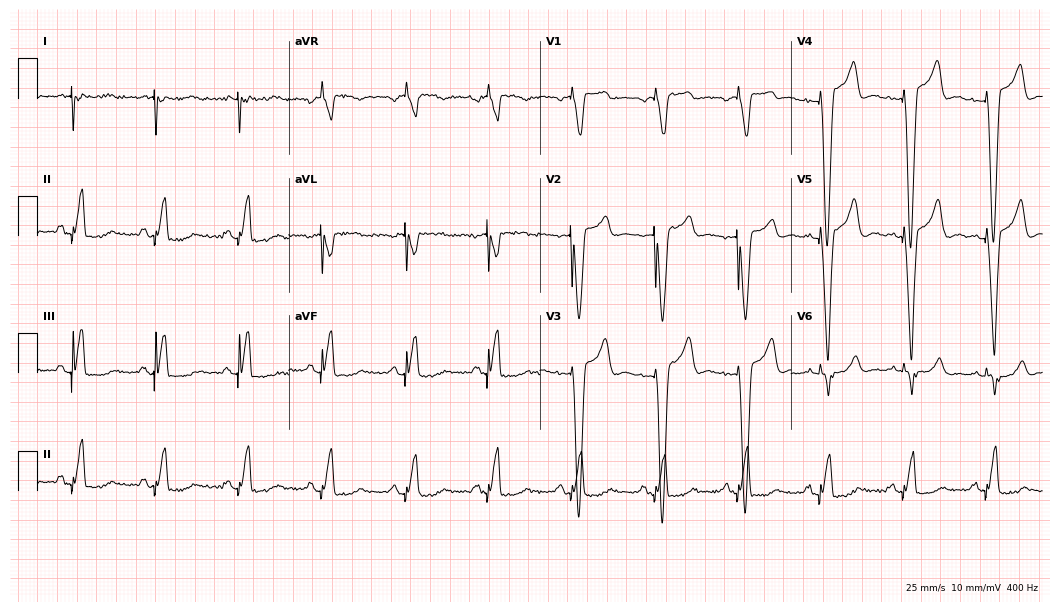
12-lead ECG from an 82-year-old male patient. No first-degree AV block, right bundle branch block, left bundle branch block, sinus bradycardia, atrial fibrillation or sinus tachycardia recorded for this tracing. Only these six findings were labelled.